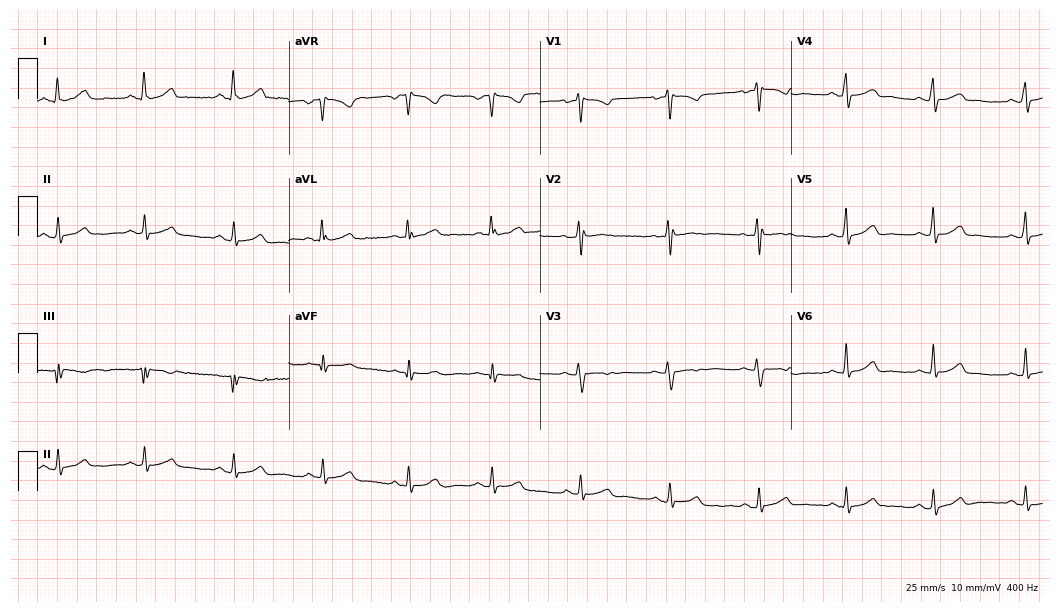
Standard 12-lead ECG recorded from a woman, 29 years old (10.2-second recording at 400 Hz). None of these six findings is recorded: first-degree AV block, right bundle branch block, left bundle branch block, sinus bradycardia, atrial fibrillation, sinus tachycardia.